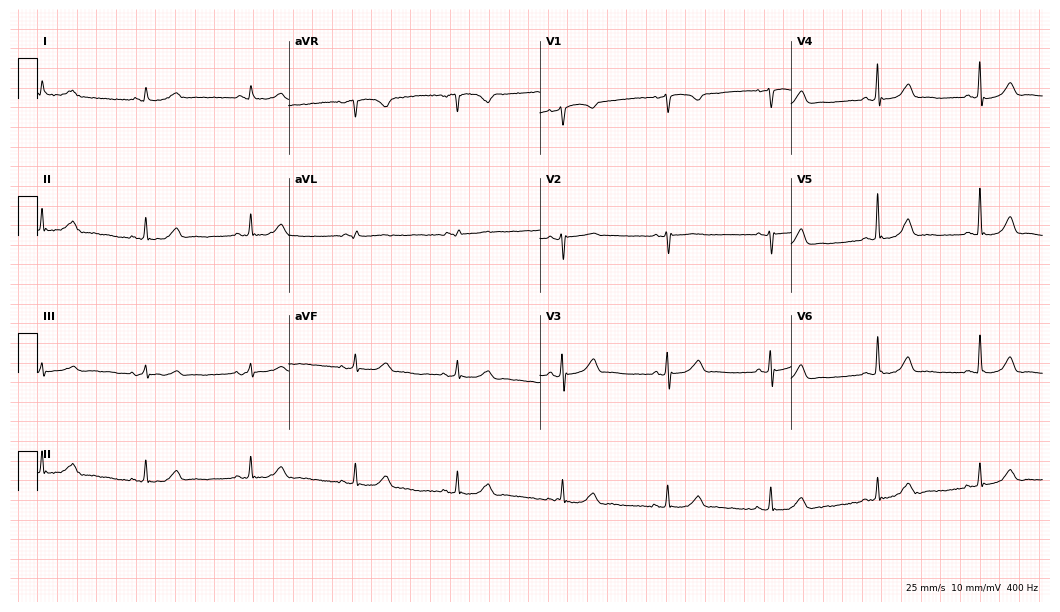
12-lead ECG from a man, 76 years old (10.2-second recording at 400 Hz). Recorded interpretation: within normal limits.